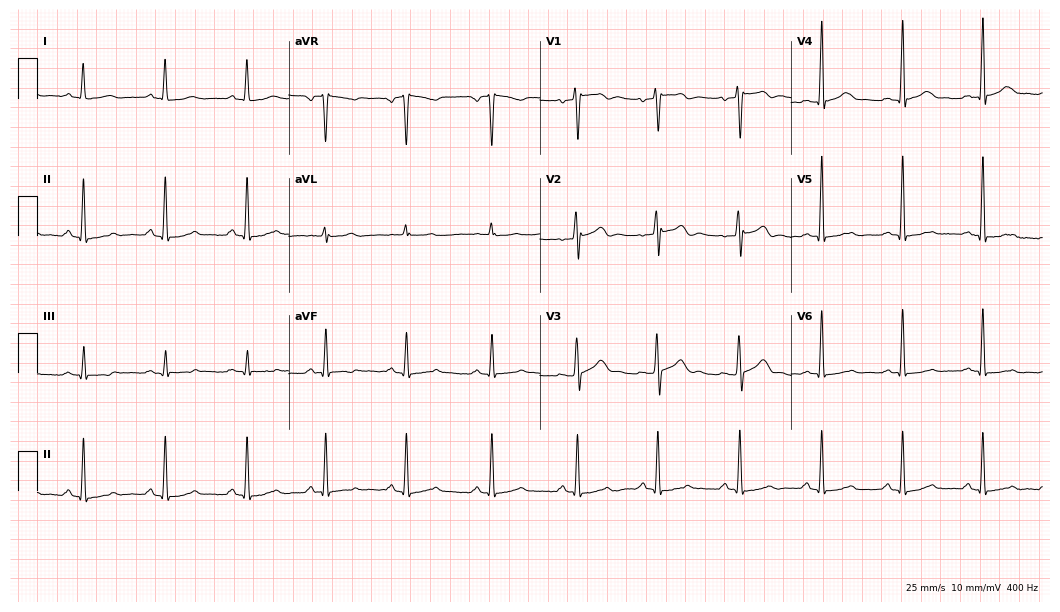
Resting 12-lead electrocardiogram (10.2-second recording at 400 Hz). Patient: a 40-year-old man. Read as a normal ECG.